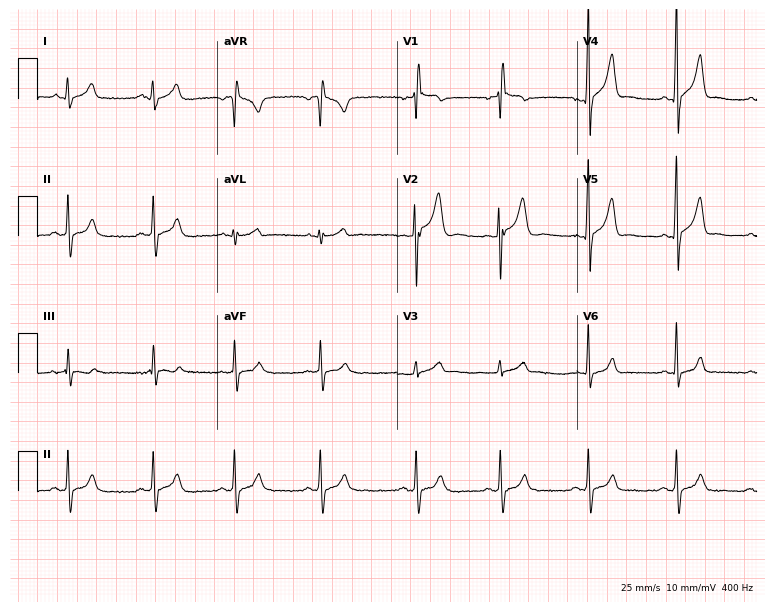
Resting 12-lead electrocardiogram. Patient: a male, 18 years old. None of these six findings is recorded: first-degree AV block, right bundle branch block, left bundle branch block, sinus bradycardia, atrial fibrillation, sinus tachycardia.